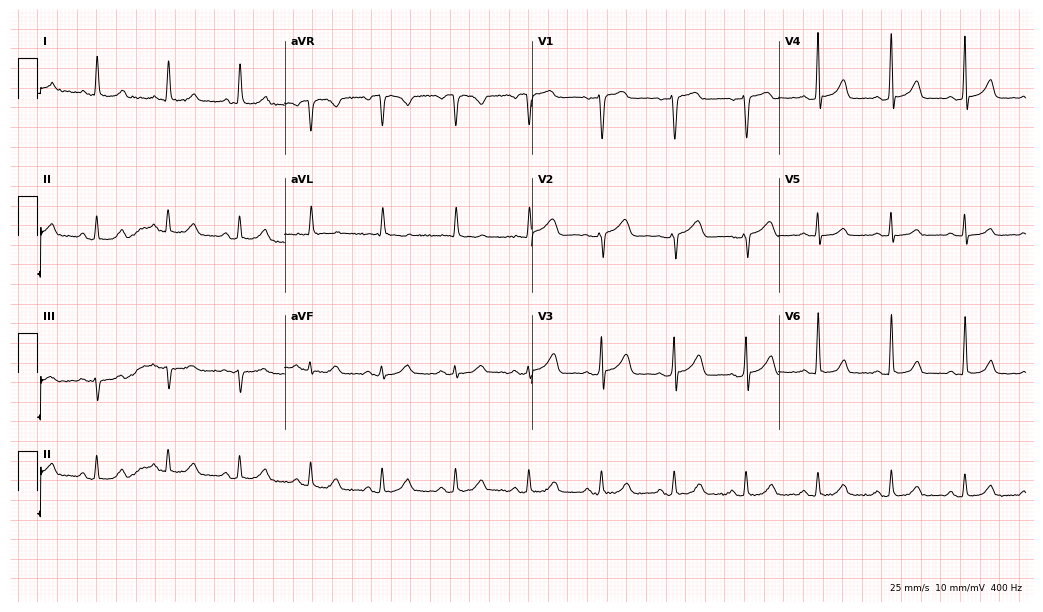
Standard 12-lead ECG recorded from a 64-year-old woman. None of these six findings is recorded: first-degree AV block, right bundle branch block (RBBB), left bundle branch block (LBBB), sinus bradycardia, atrial fibrillation (AF), sinus tachycardia. Only these six findings were labelled.